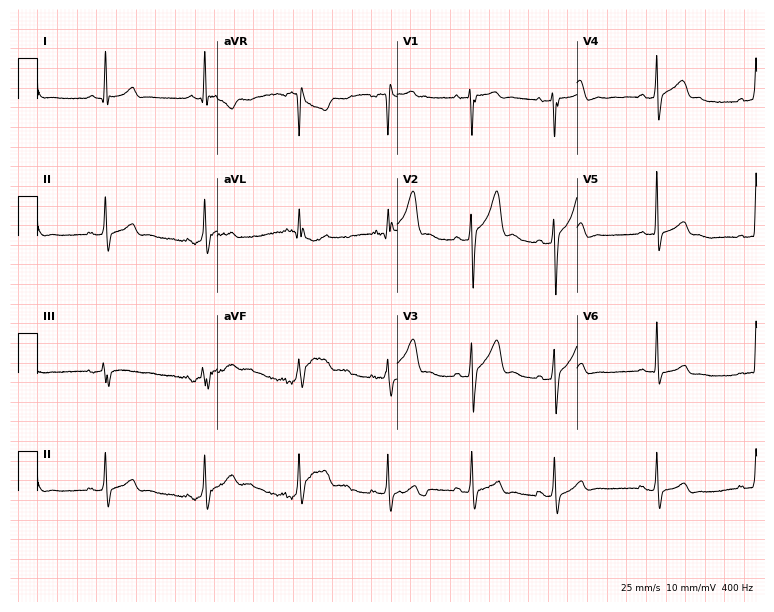
Standard 12-lead ECG recorded from a male, 33 years old. Read as a normal ECG.